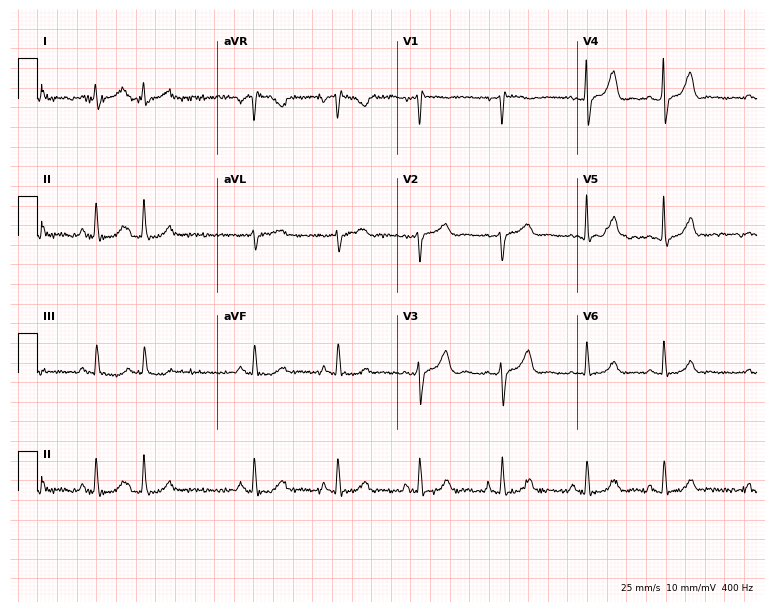
ECG (7.3-second recording at 400 Hz) — a woman, 69 years old. Labelled as a normal ECG.